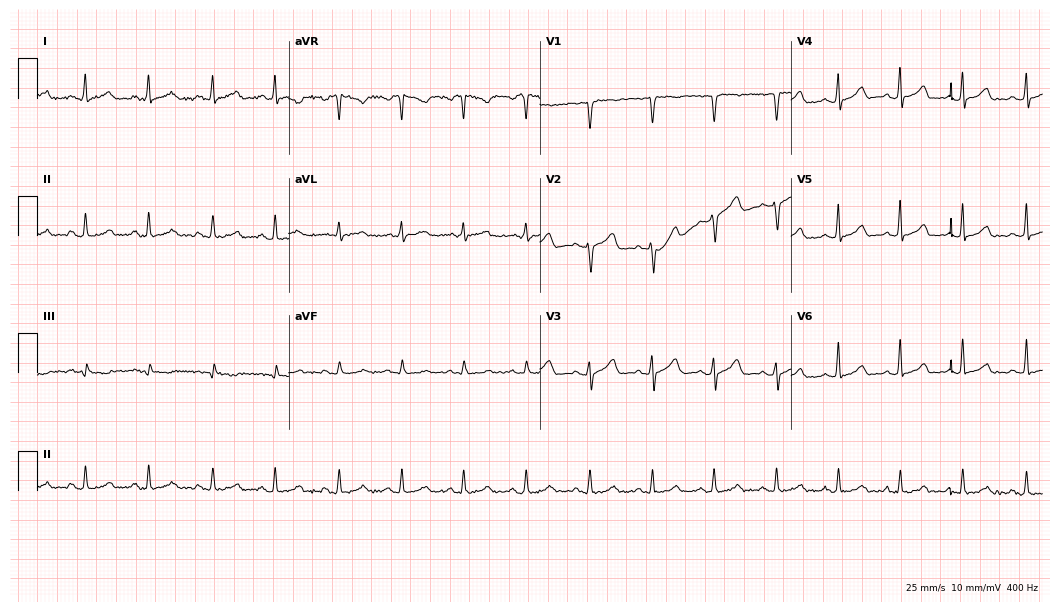
Resting 12-lead electrocardiogram. Patient: a 42-year-old woman. Read as a normal ECG.